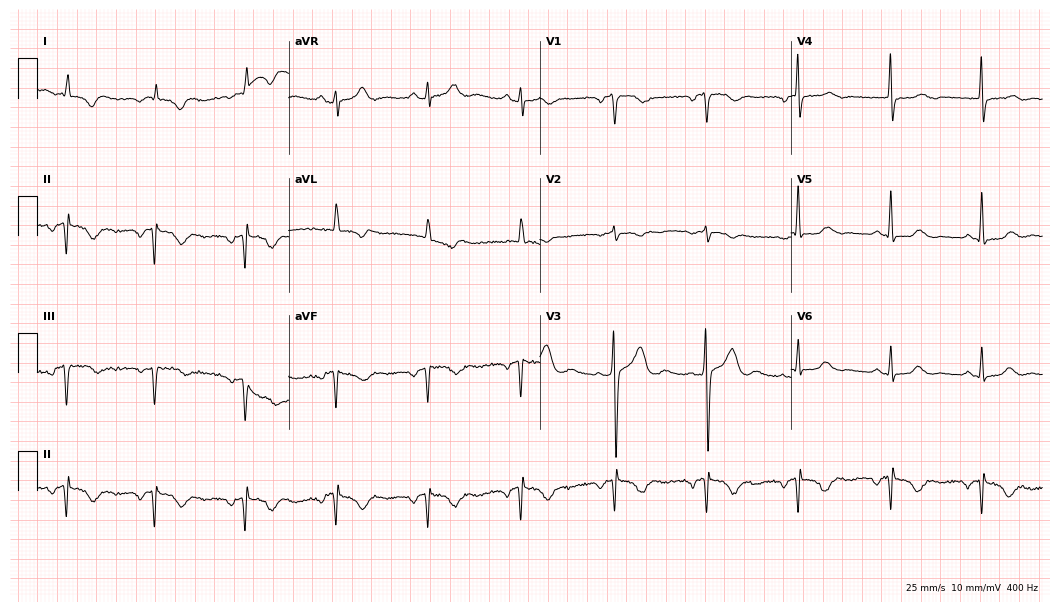
ECG — a woman, 73 years old. Screened for six findings — first-degree AV block, right bundle branch block (RBBB), left bundle branch block (LBBB), sinus bradycardia, atrial fibrillation (AF), sinus tachycardia — none is recorded.